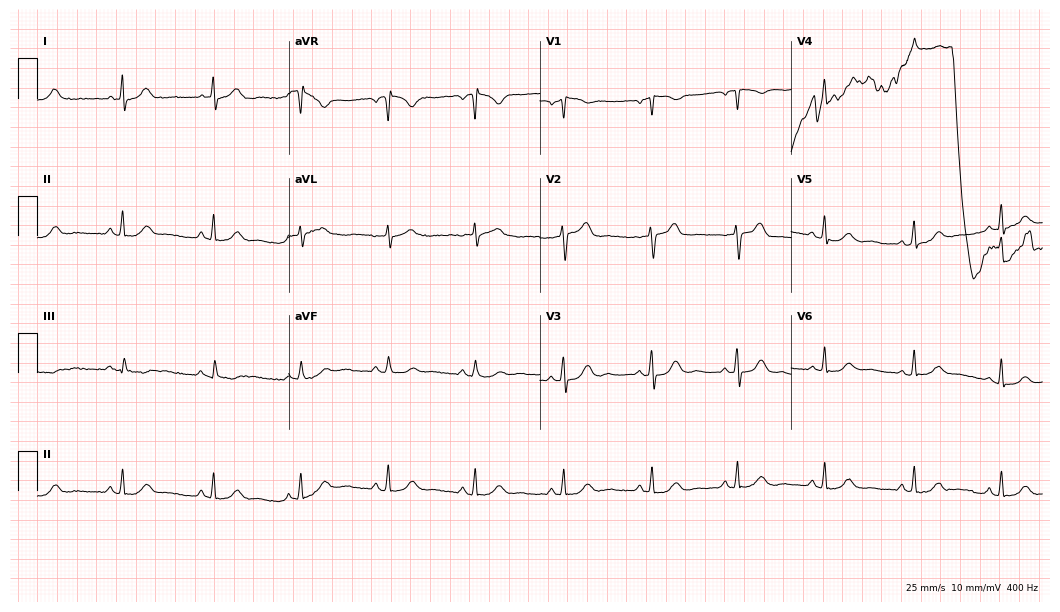
ECG (10.2-second recording at 400 Hz) — a female, 65 years old. Labelled as a normal ECG.